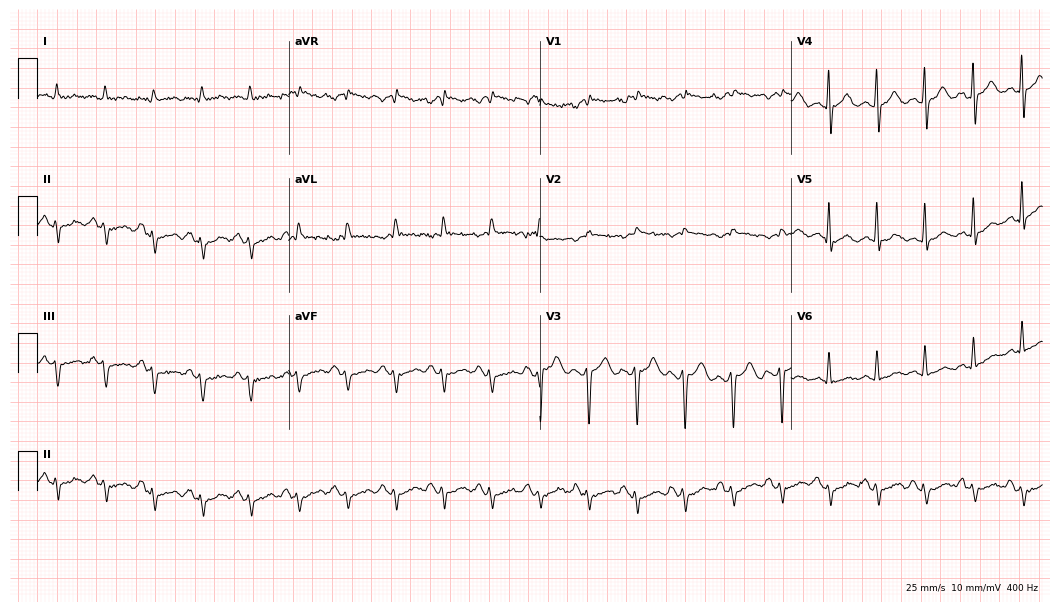
Standard 12-lead ECG recorded from a male patient, 63 years old. None of these six findings is recorded: first-degree AV block, right bundle branch block, left bundle branch block, sinus bradycardia, atrial fibrillation, sinus tachycardia.